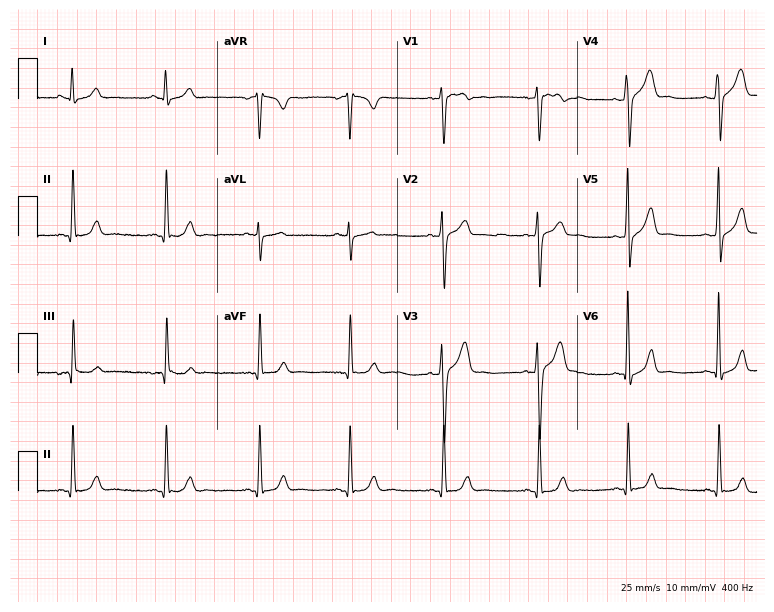
Resting 12-lead electrocardiogram (7.3-second recording at 400 Hz). Patient: a male, 50 years old. Read as a normal ECG.